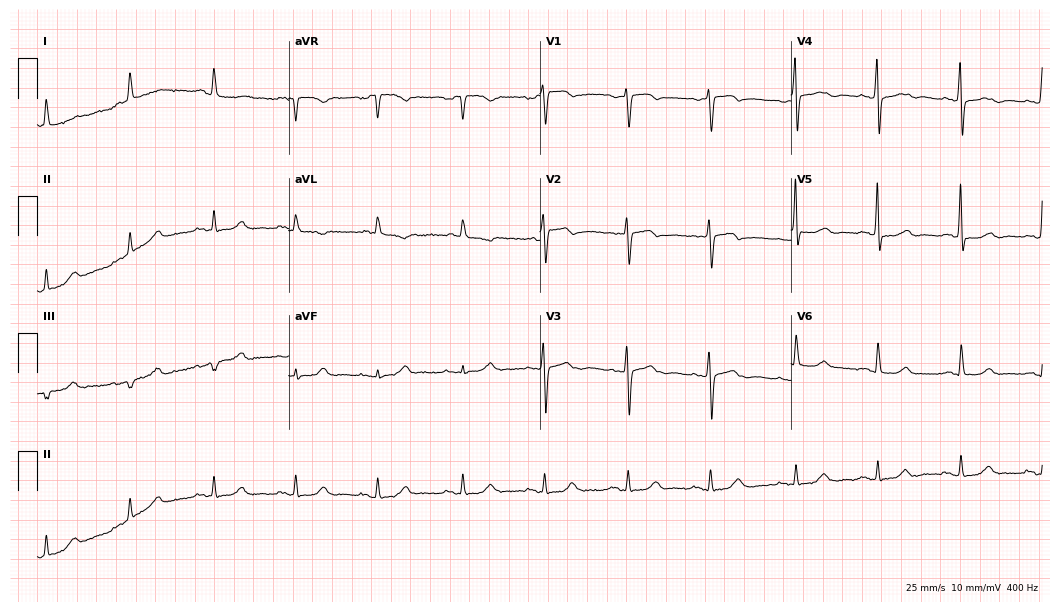
Standard 12-lead ECG recorded from an 85-year-old female (10.2-second recording at 400 Hz). Read as a normal ECG.